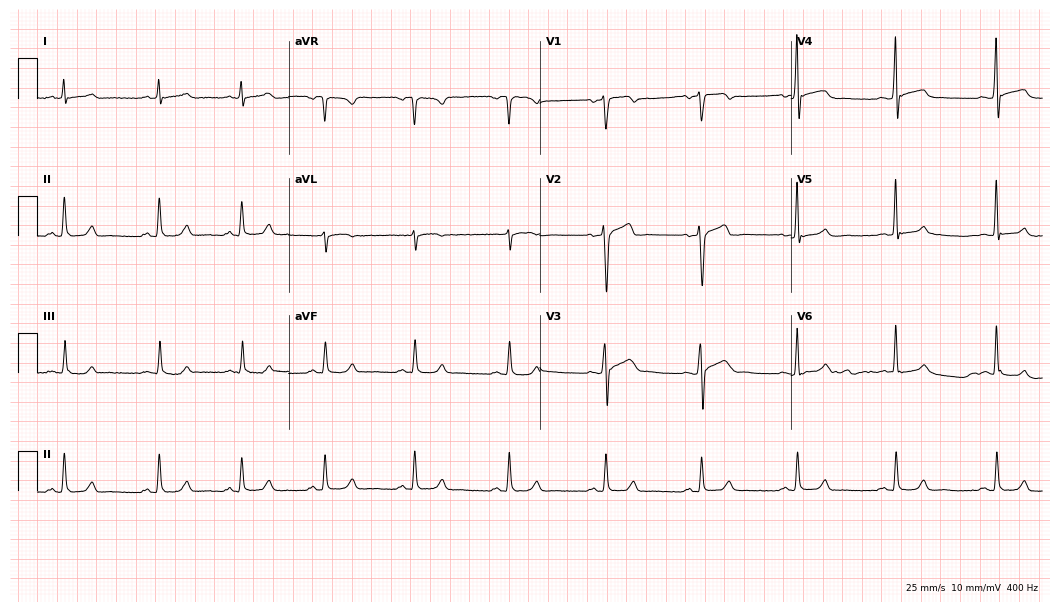
12-lead ECG from a man, 35 years old. Recorded interpretation: within normal limits.